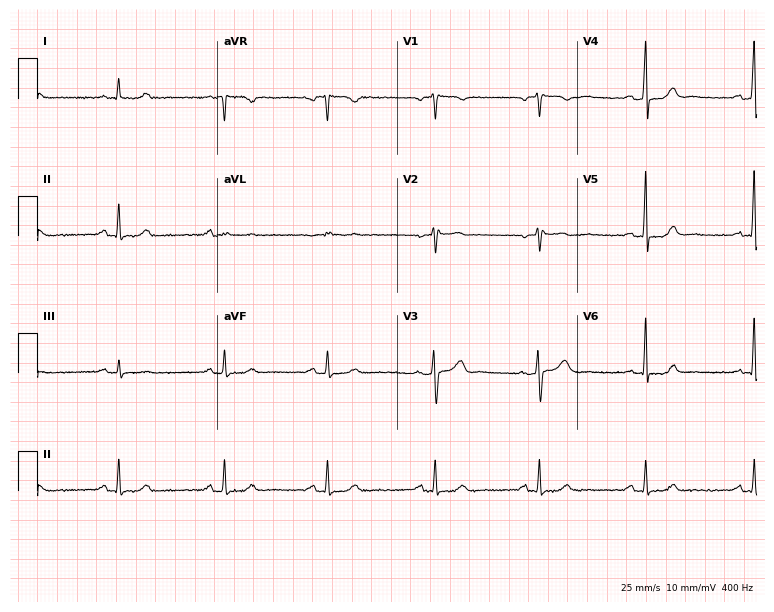
ECG (7.3-second recording at 400 Hz) — a 59-year-old male patient. Labelled as a normal ECG.